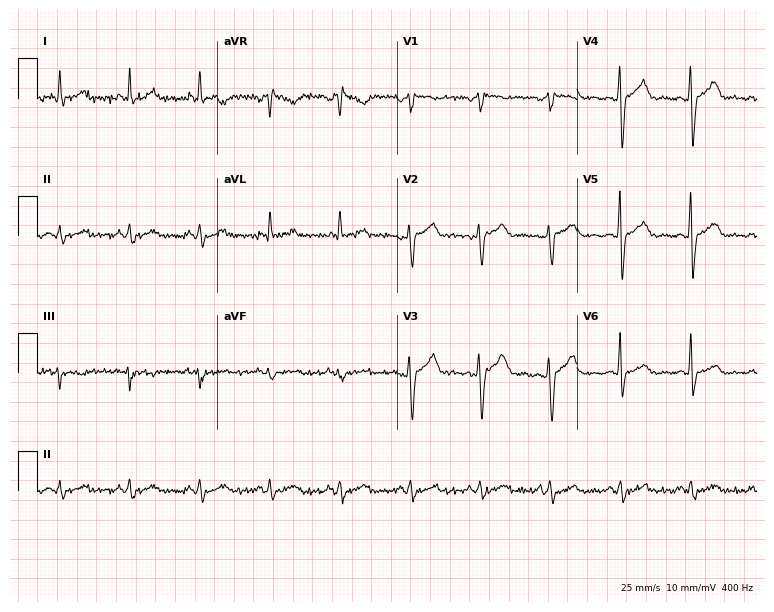
Resting 12-lead electrocardiogram. Patient: a man, 52 years old. None of these six findings is recorded: first-degree AV block, right bundle branch block, left bundle branch block, sinus bradycardia, atrial fibrillation, sinus tachycardia. Only these six findings were labelled.